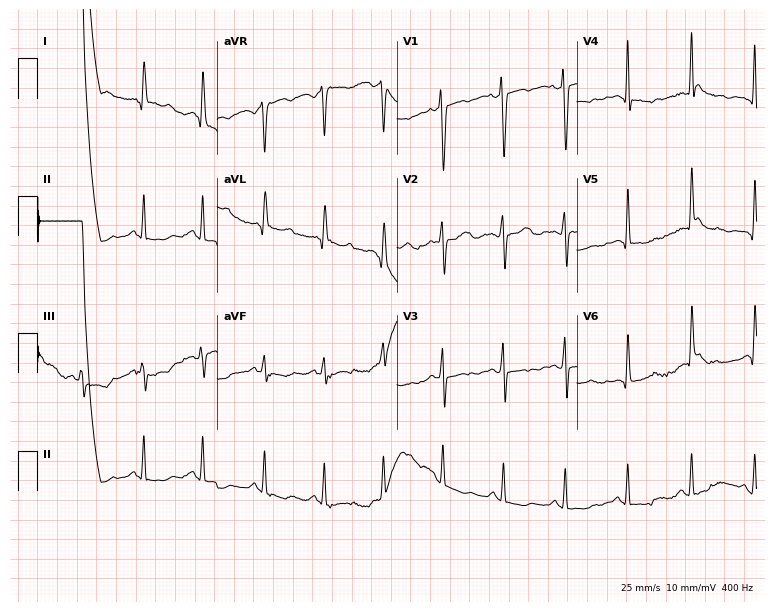
12-lead ECG from a woman, 44 years old (7.3-second recording at 400 Hz). No first-degree AV block, right bundle branch block (RBBB), left bundle branch block (LBBB), sinus bradycardia, atrial fibrillation (AF) or sinus tachycardia recorded for this tracing.